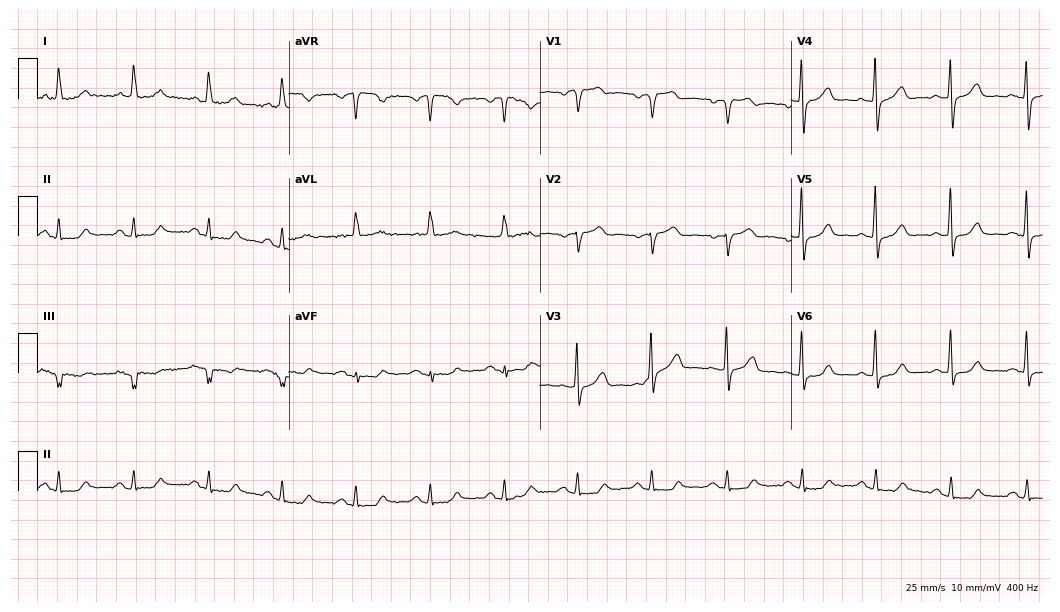
Electrocardiogram (10.2-second recording at 400 Hz), a woman, 52 years old. Overall reading on record: normal ECG.